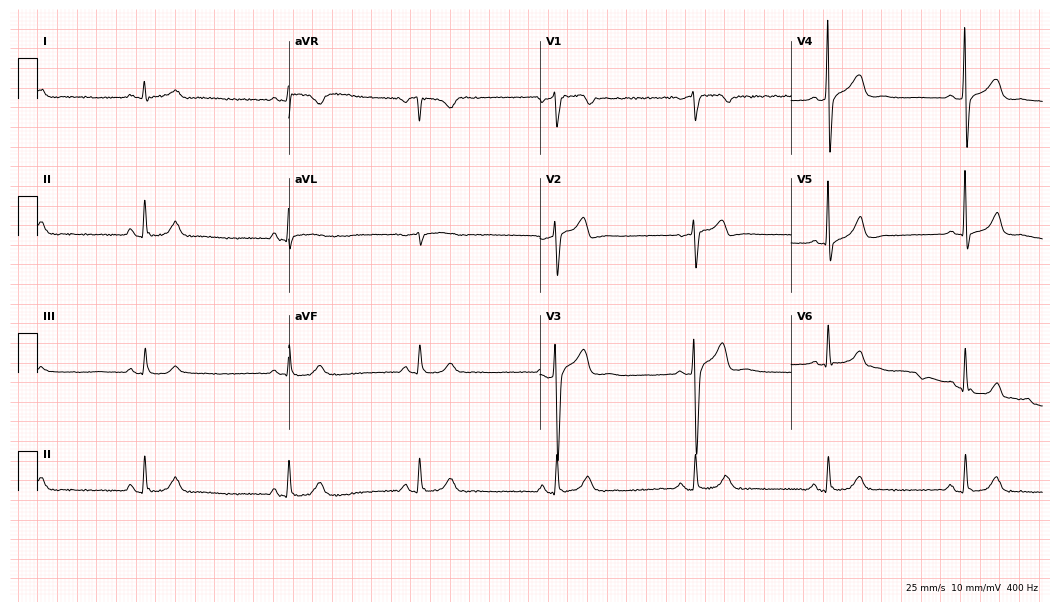
12-lead ECG from a male, 51 years old. Findings include sinus bradycardia (a sinus rate of 50 beats per minute or less).